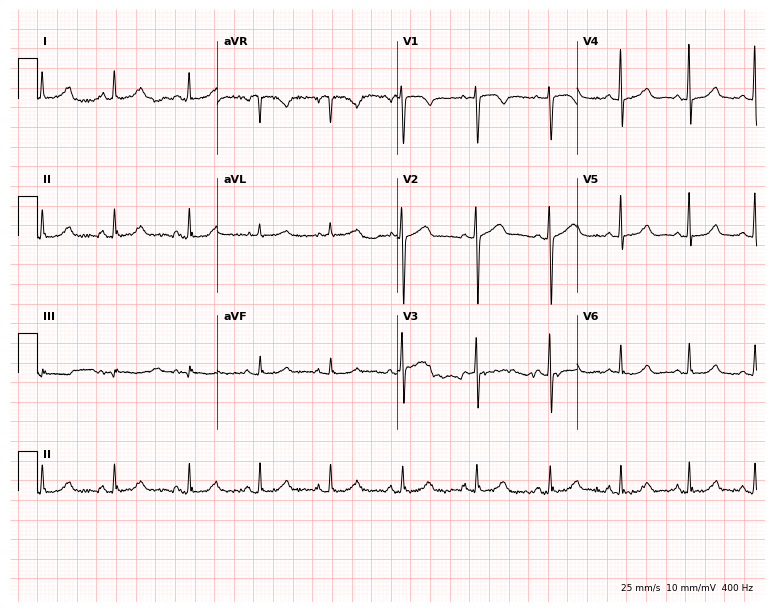
ECG (7.3-second recording at 400 Hz) — a female, 50 years old. Labelled as a normal ECG.